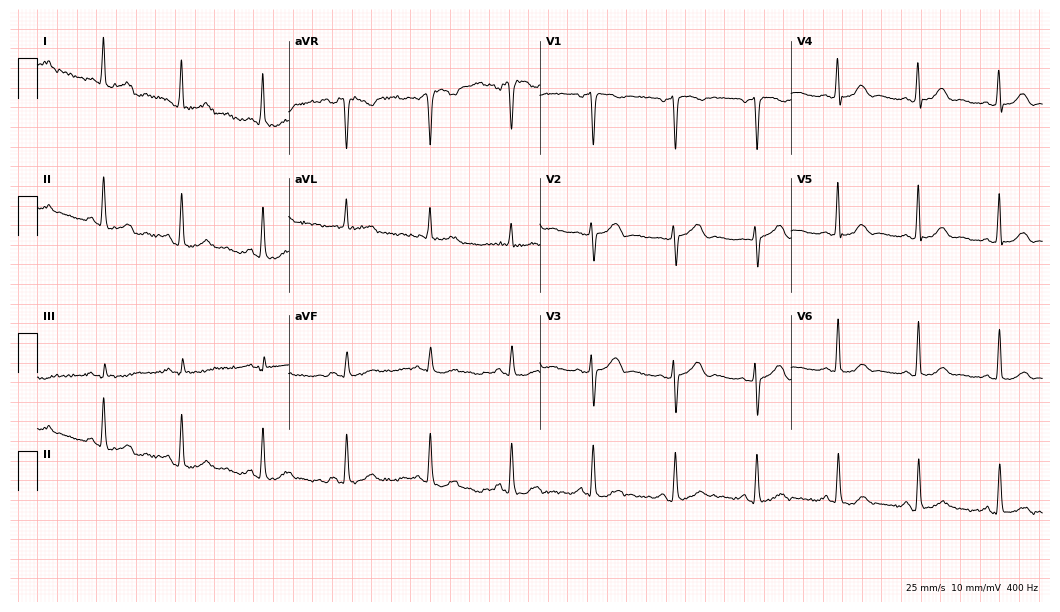
Resting 12-lead electrocardiogram (10.2-second recording at 400 Hz). Patient: a 41-year-old woman. Read as a normal ECG.